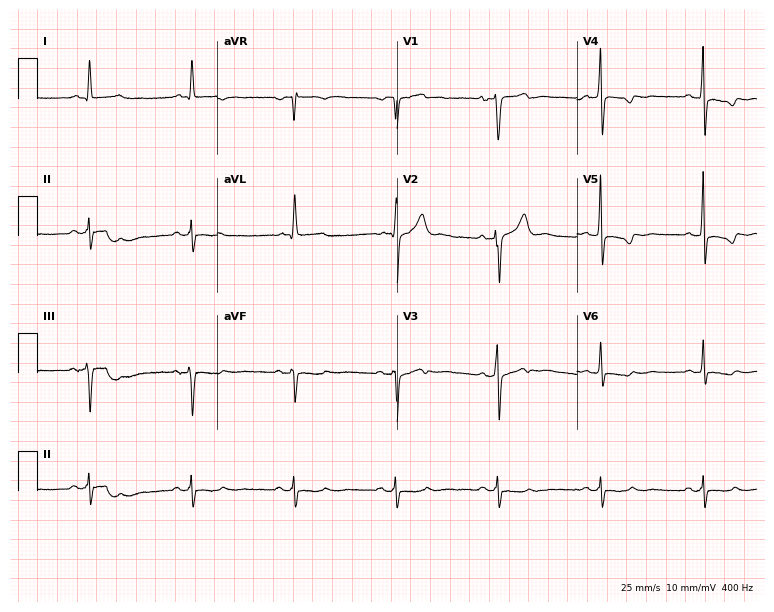
Resting 12-lead electrocardiogram. Patient: a 56-year-old male. None of these six findings is recorded: first-degree AV block, right bundle branch block, left bundle branch block, sinus bradycardia, atrial fibrillation, sinus tachycardia.